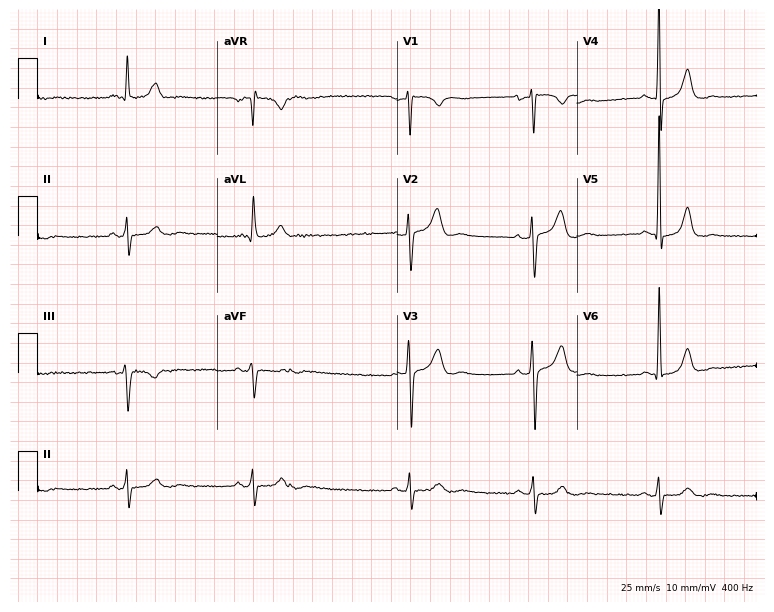
ECG (7.3-second recording at 400 Hz) — a man, 49 years old. Screened for six findings — first-degree AV block, right bundle branch block, left bundle branch block, sinus bradycardia, atrial fibrillation, sinus tachycardia — none is recorded. Findings outside these six are not listed.